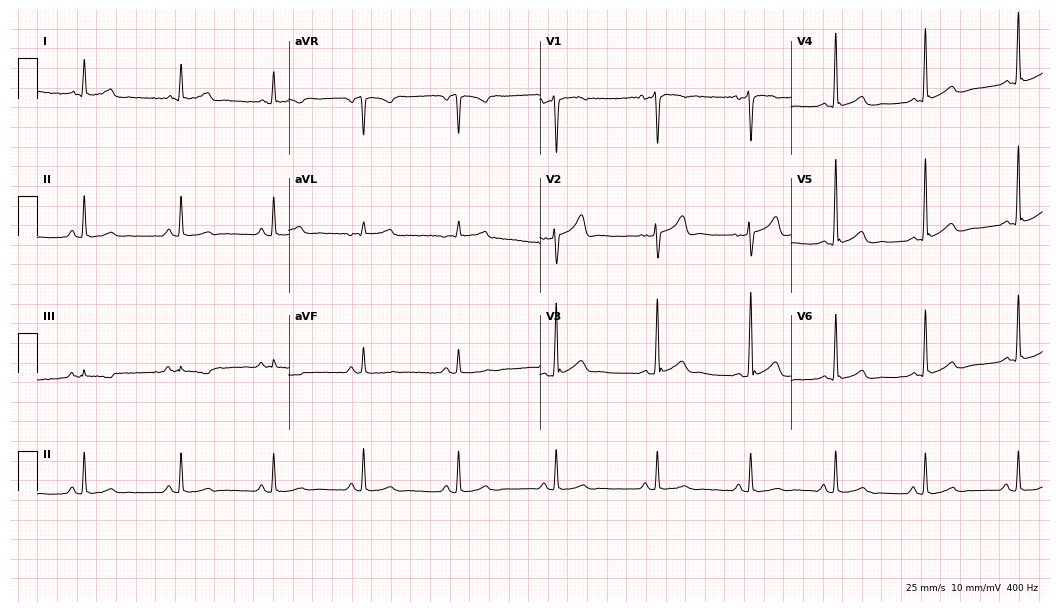
Standard 12-lead ECG recorded from a 28-year-old male (10.2-second recording at 400 Hz). Read as a normal ECG.